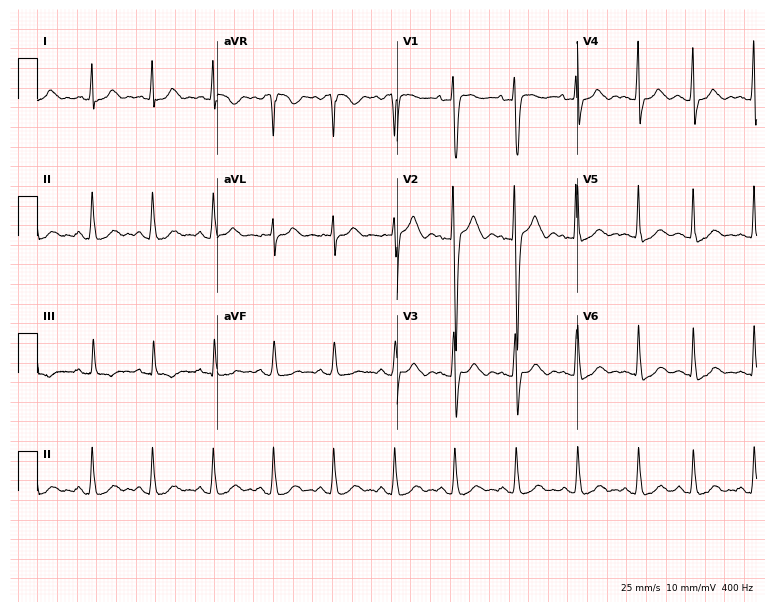
12-lead ECG from a female patient, 27 years old (7.3-second recording at 400 Hz). Recorded interpretation: within normal limits.